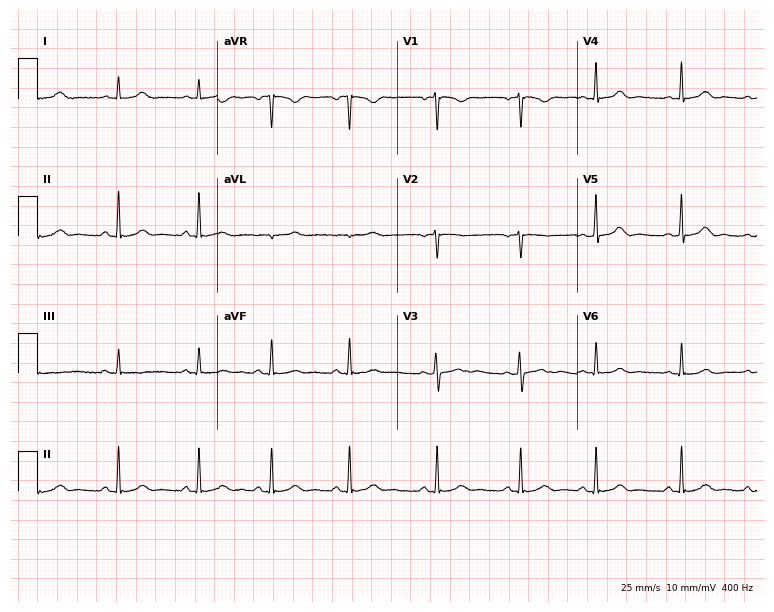
Electrocardiogram (7.3-second recording at 400 Hz), a woman, 19 years old. Of the six screened findings (first-degree AV block, right bundle branch block (RBBB), left bundle branch block (LBBB), sinus bradycardia, atrial fibrillation (AF), sinus tachycardia), none is recorded. Findings outside these six are not listed.